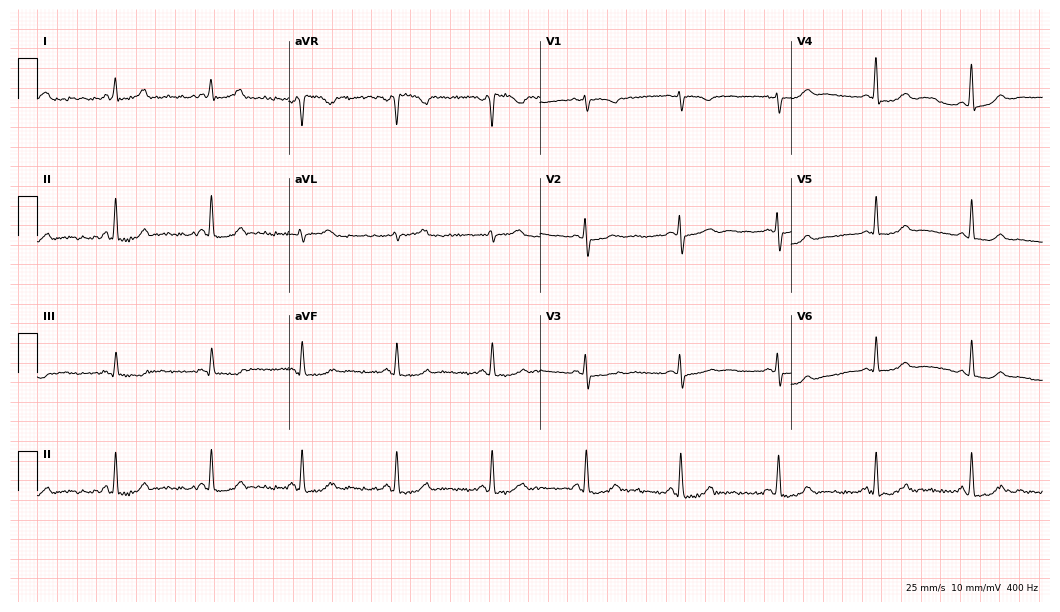
Resting 12-lead electrocardiogram (10.2-second recording at 400 Hz). Patient: a female, 46 years old. Read as a normal ECG.